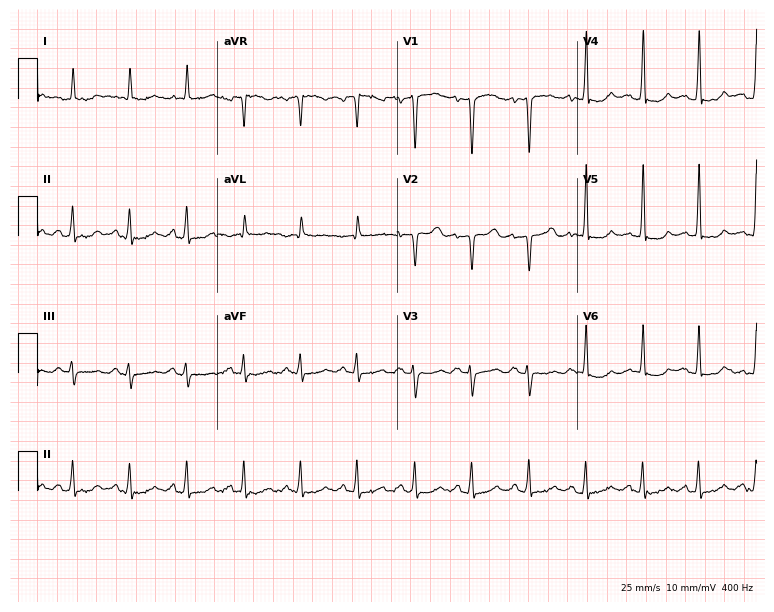
Resting 12-lead electrocardiogram (7.3-second recording at 400 Hz). Patient: a 58-year-old female. None of these six findings is recorded: first-degree AV block, right bundle branch block, left bundle branch block, sinus bradycardia, atrial fibrillation, sinus tachycardia.